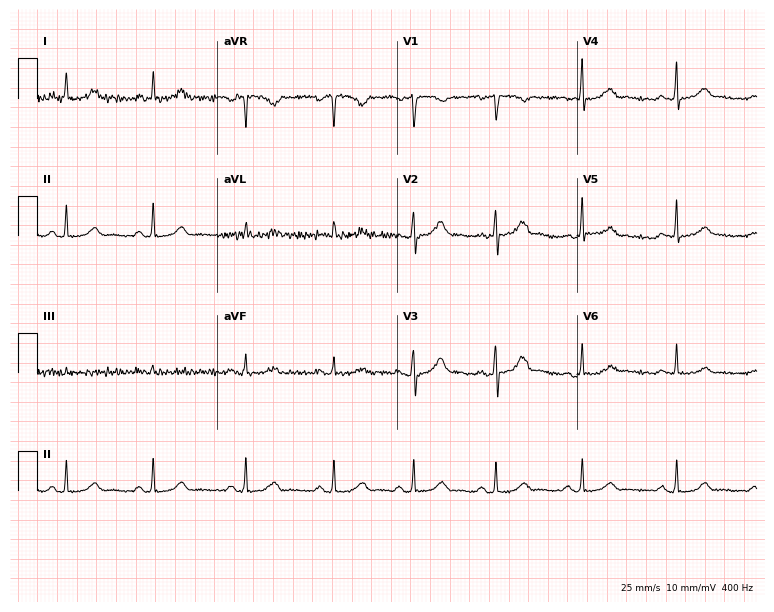
12-lead ECG from a 47-year-old female. Screened for six findings — first-degree AV block, right bundle branch block, left bundle branch block, sinus bradycardia, atrial fibrillation, sinus tachycardia — none is recorded. Only these six findings were labelled.